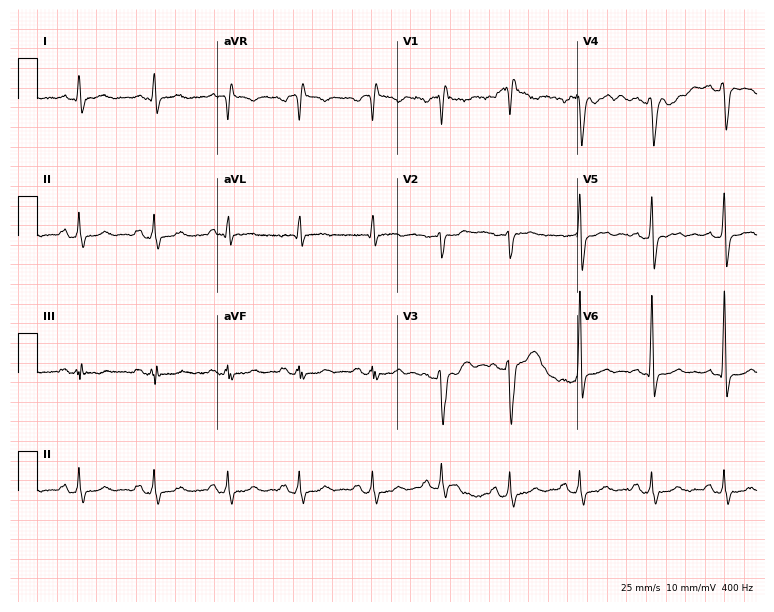
12-lead ECG from a male patient, 41 years old. Findings include right bundle branch block.